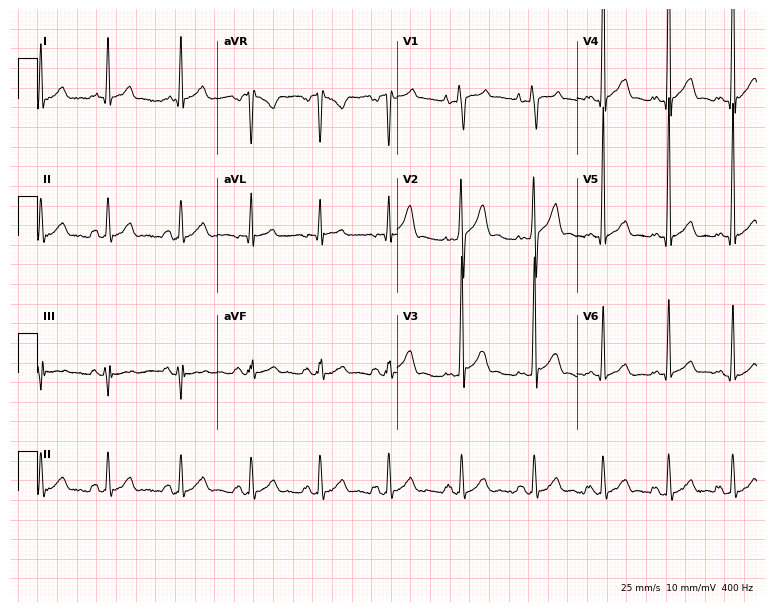
Resting 12-lead electrocardiogram. Patient: a male, 20 years old. Read as a normal ECG.